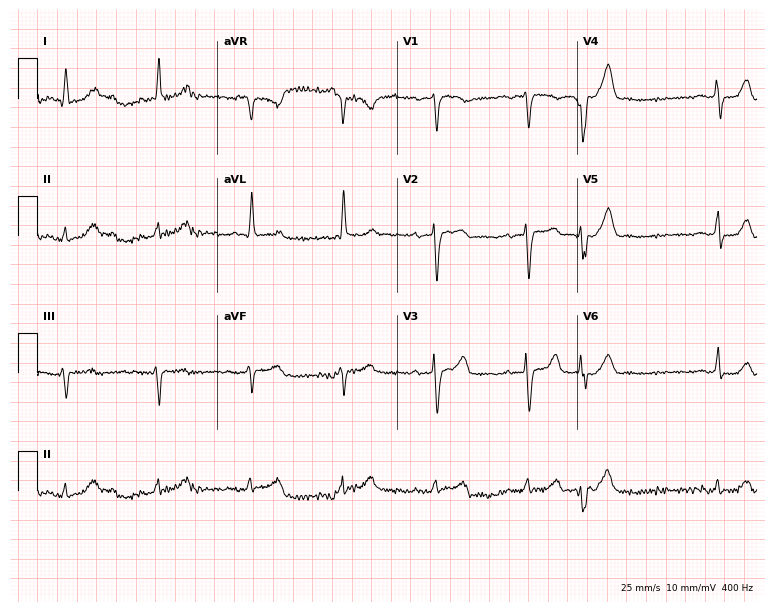
Standard 12-lead ECG recorded from a woman, 75 years old (7.3-second recording at 400 Hz). None of these six findings is recorded: first-degree AV block, right bundle branch block, left bundle branch block, sinus bradycardia, atrial fibrillation, sinus tachycardia. Other findings, if any, are not listed.